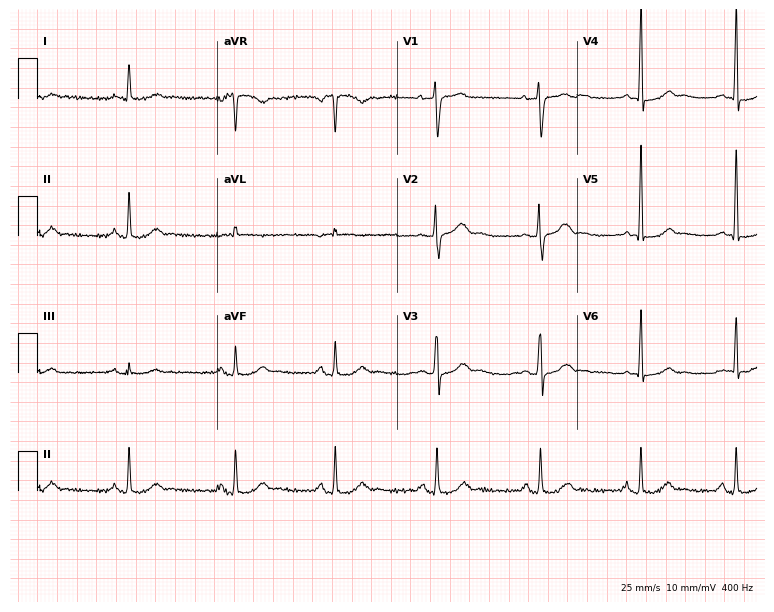
Standard 12-lead ECG recorded from a 46-year-old man. None of these six findings is recorded: first-degree AV block, right bundle branch block (RBBB), left bundle branch block (LBBB), sinus bradycardia, atrial fibrillation (AF), sinus tachycardia. Other findings, if any, are not listed.